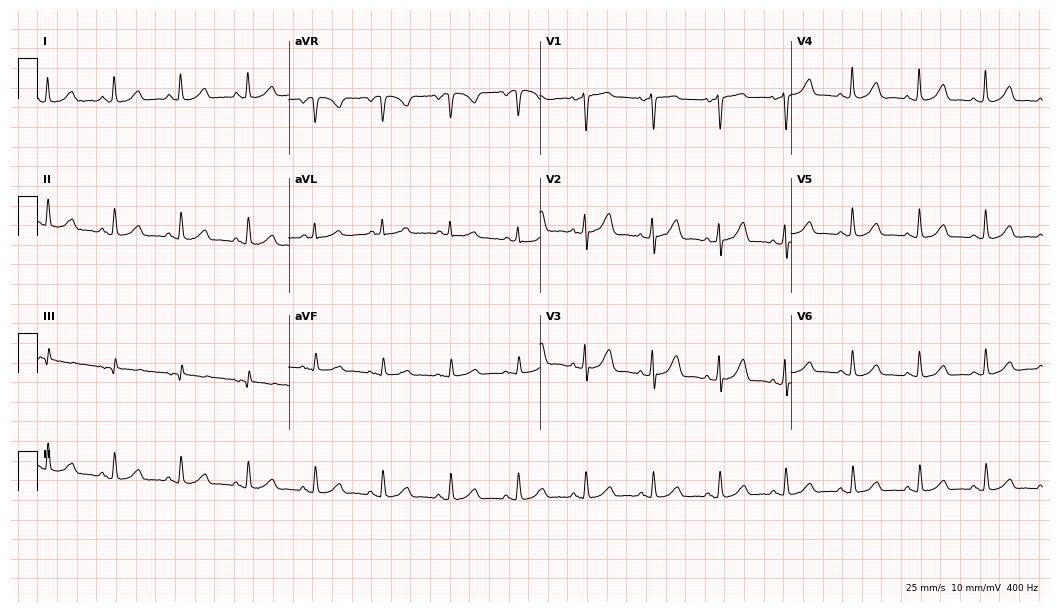
Standard 12-lead ECG recorded from a female, 74 years old (10.2-second recording at 400 Hz). None of these six findings is recorded: first-degree AV block, right bundle branch block, left bundle branch block, sinus bradycardia, atrial fibrillation, sinus tachycardia. Findings outside these six are not listed.